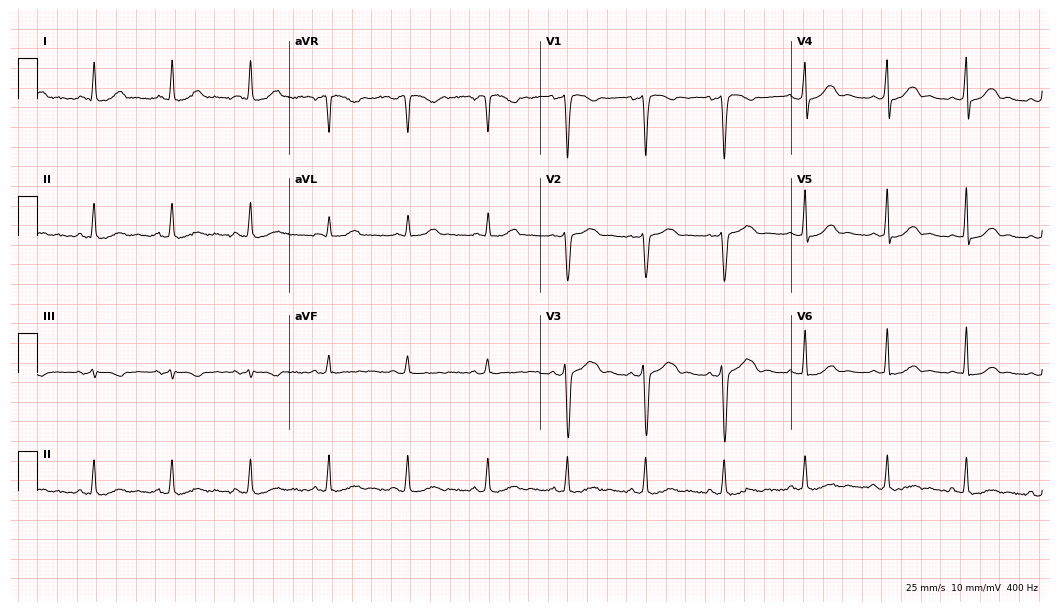
Standard 12-lead ECG recorded from a 44-year-old female. None of these six findings is recorded: first-degree AV block, right bundle branch block, left bundle branch block, sinus bradycardia, atrial fibrillation, sinus tachycardia. Findings outside these six are not listed.